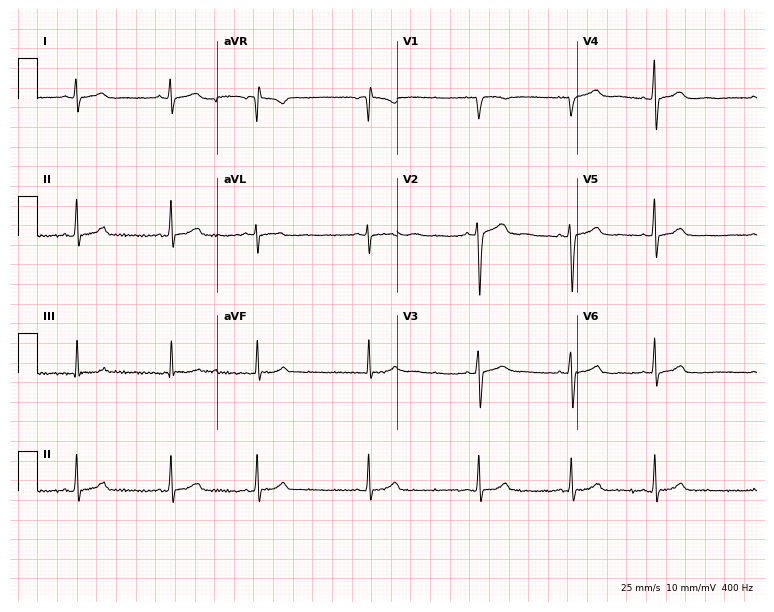
12-lead ECG from a woman, 20 years old. Labelled as a normal ECG.